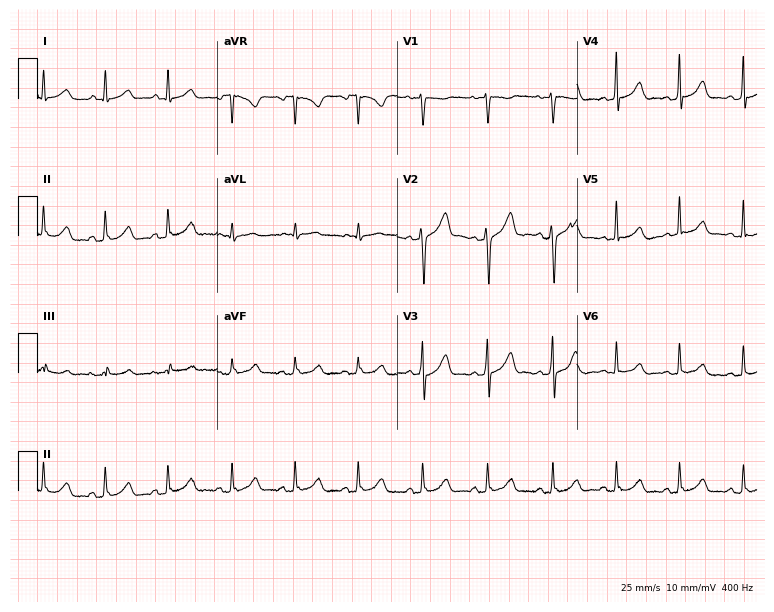
ECG — a 26-year-old male. Labelled as a normal ECG.